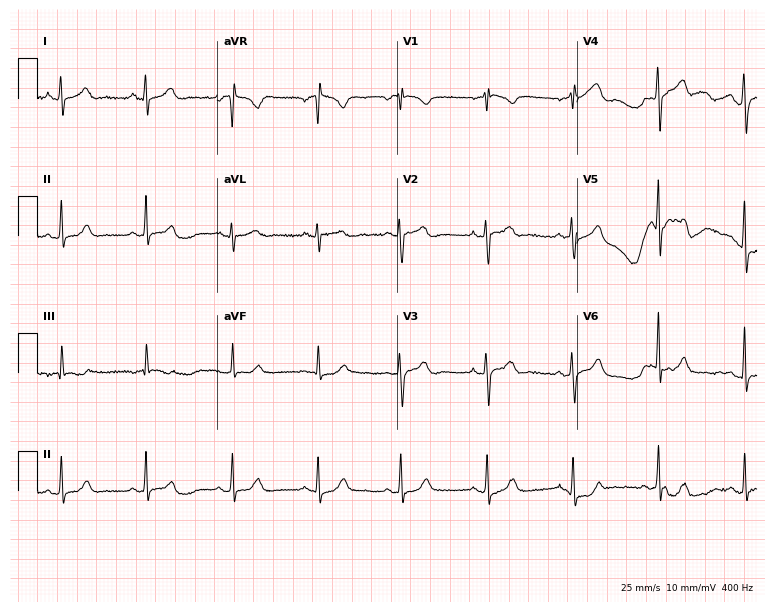
Electrocardiogram, a 51-year-old woman. Overall reading on record: normal ECG.